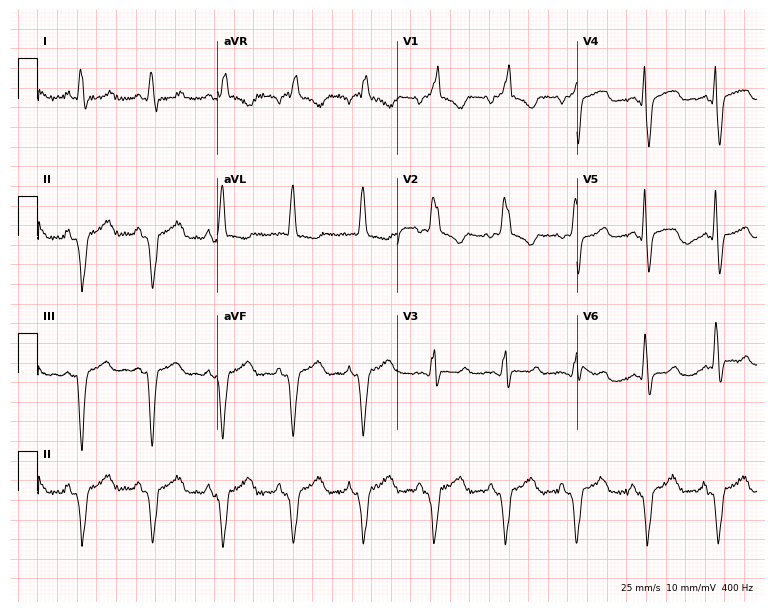
Resting 12-lead electrocardiogram (7.3-second recording at 400 Hz). Patient: a female, 52 years old. The tracing shows right bundle branch block.